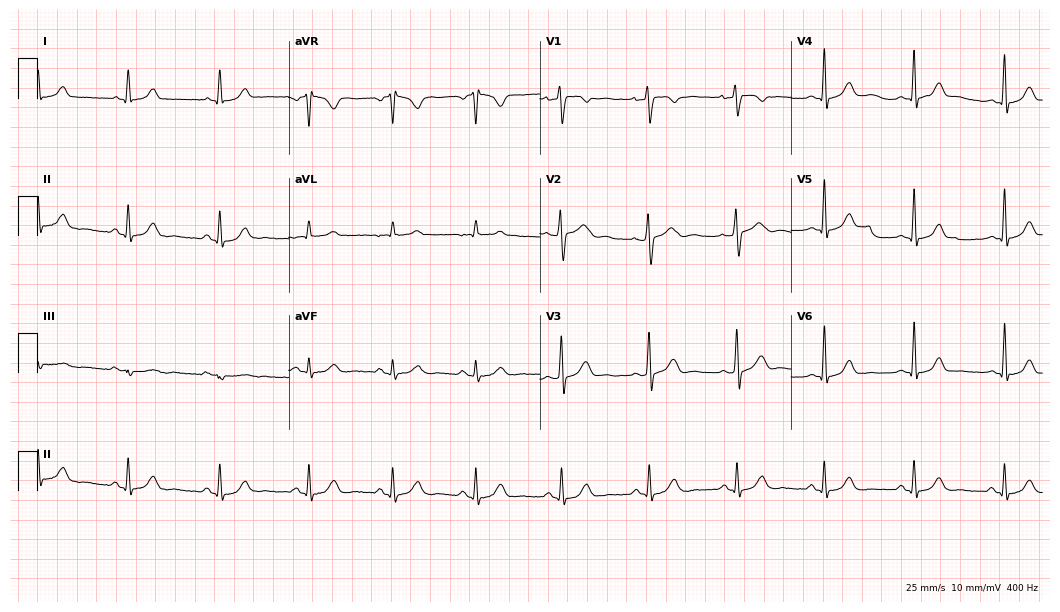
12-lead ECG (10.2-second recording at 400 Hz) from a 46-year-old woman. Screened for six findings — first-degree AV block, right bundle branch block, left bundle branch block, sinus bradycardia, atrial fibrillation, sinus tachycardia — none is recorded. Other findings, if any, are not listed.